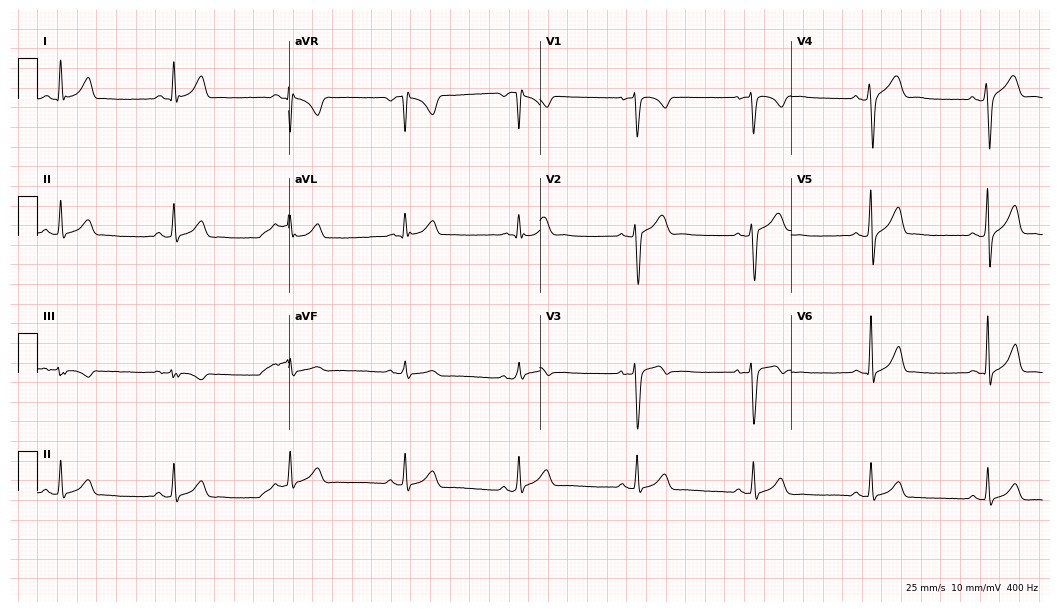
12-lead ECG from a 30-year-old male. Labelled as a normal ECG.